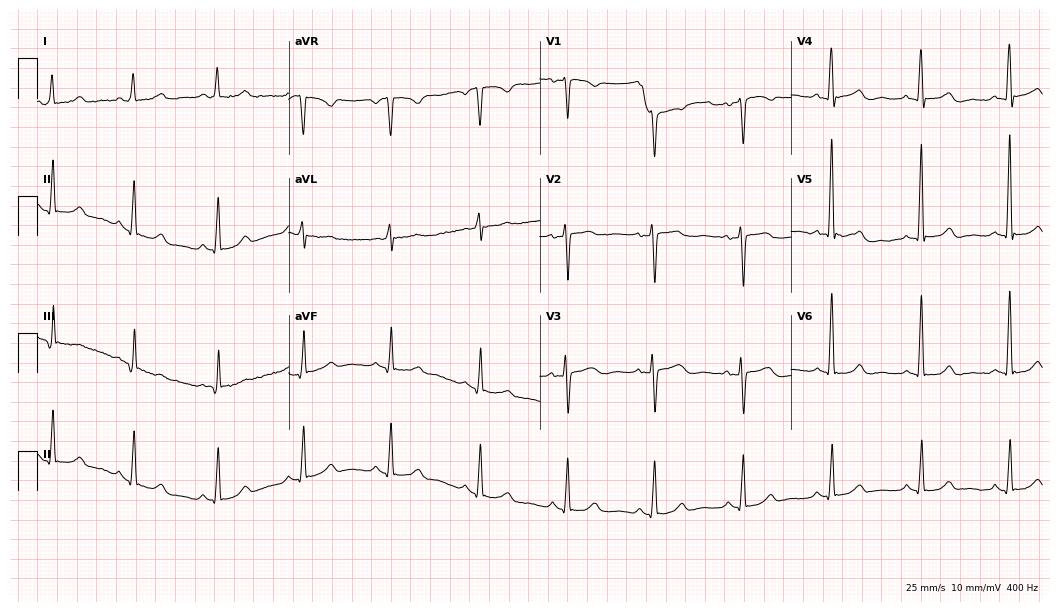
12-lead ECG from a 54-year-old woman. Recorded interpretation: within normal limits.